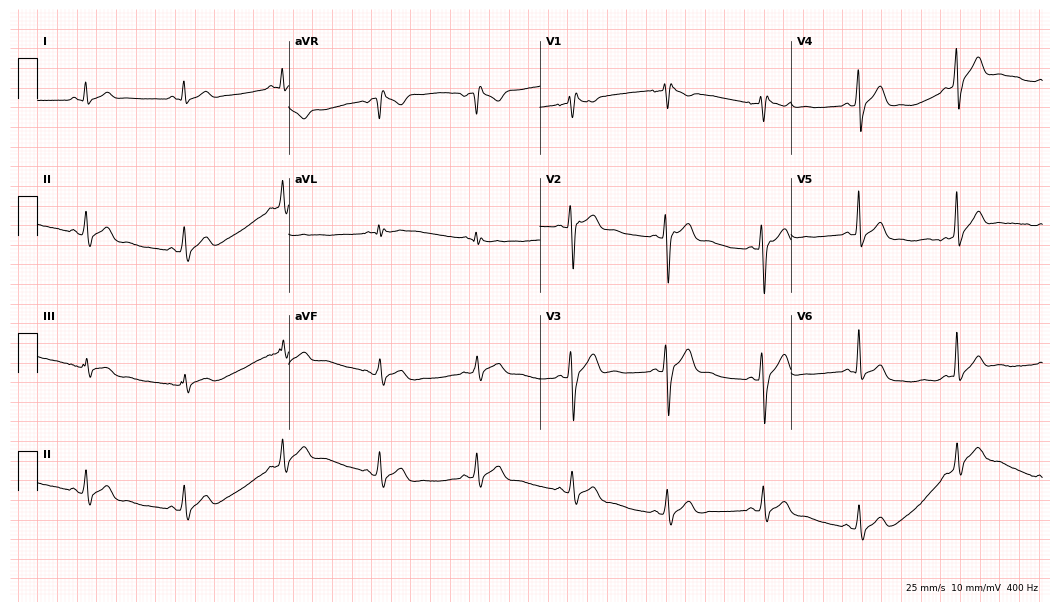
ECG — a male patient, 31 years old. Screened for six findings — first-degree AV block, right bundle branch block (RBBB), left bundle branch block (LBBB), sinus bradycardia, atrial fibrillation (AF), sinus tachycardia — none is recorded. Other findings, if any, are not listed.